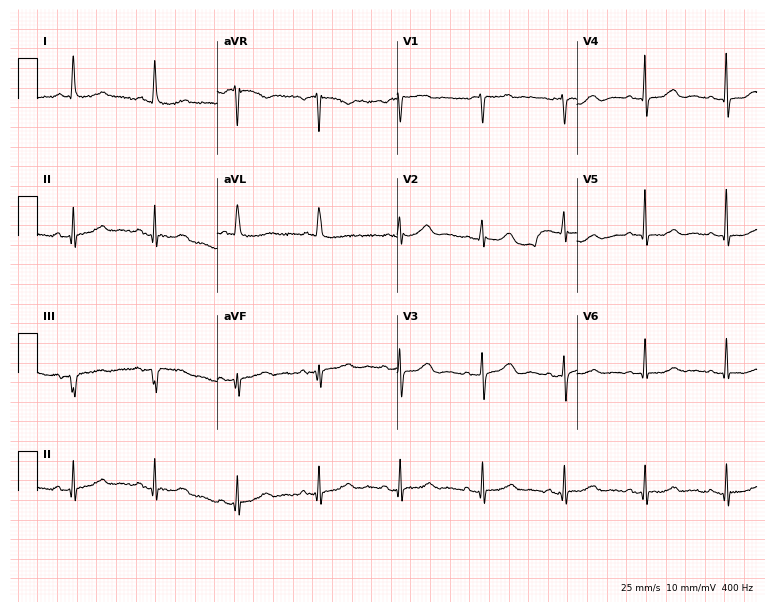
12-lead ECG from a 73-year-old female. Screened for six findings — first-degree AV block, right bundle branch block, left bundle branch block, sinus bradycardia, atrial fibrillation, sinus tachycardia — none is recorded. Findings outside these six are not listed.